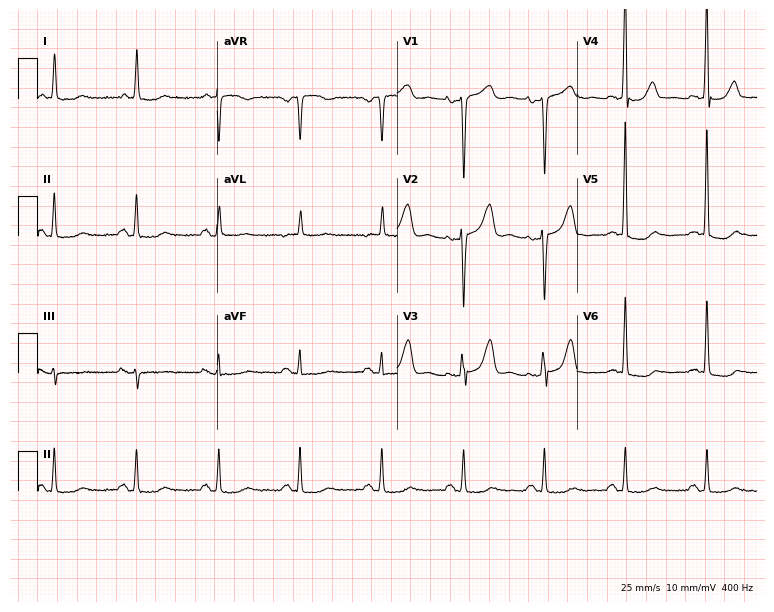
Resting 12-lead electrocardiogram (7.3-second recording at 400 Hz). Patient: a female, 60 years old. None of these six findings is recorded: first-degree AV block, right bundle branch block, left bundle branch block, sinus bradycardia, atrial fibrillation, sinus tachycardia. Other findings, if any, are not listed.